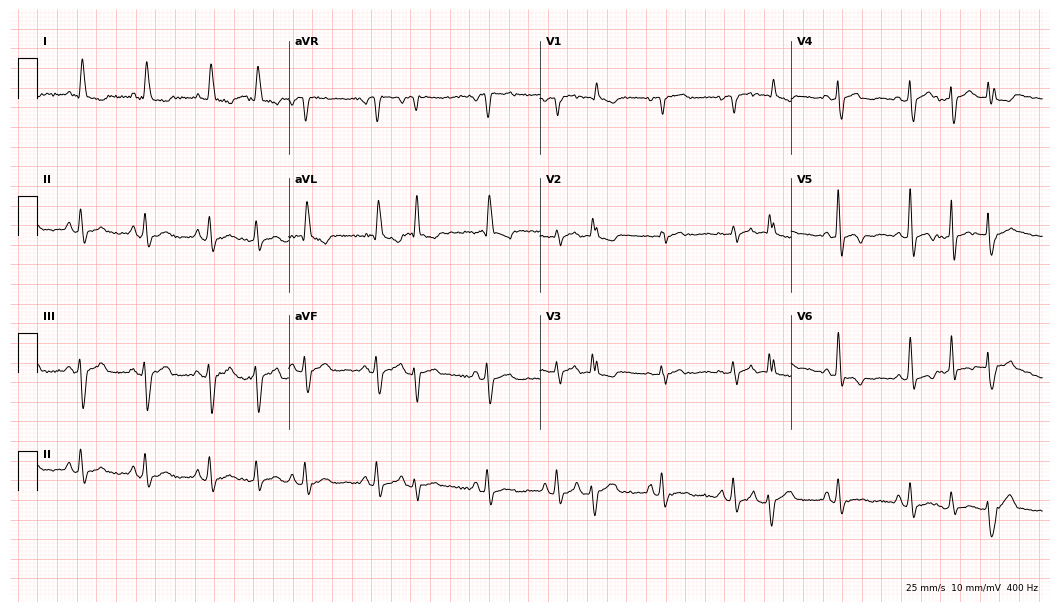
12-lead ECG from a female patient, 80 years old. Screened for six findings — first-degree AV block, right bundle branch block, left bundle branch block, sinus bradycardia, atrial fibrillation, sinus tachycardia — none is recorded. Findings outside these six are not listed.